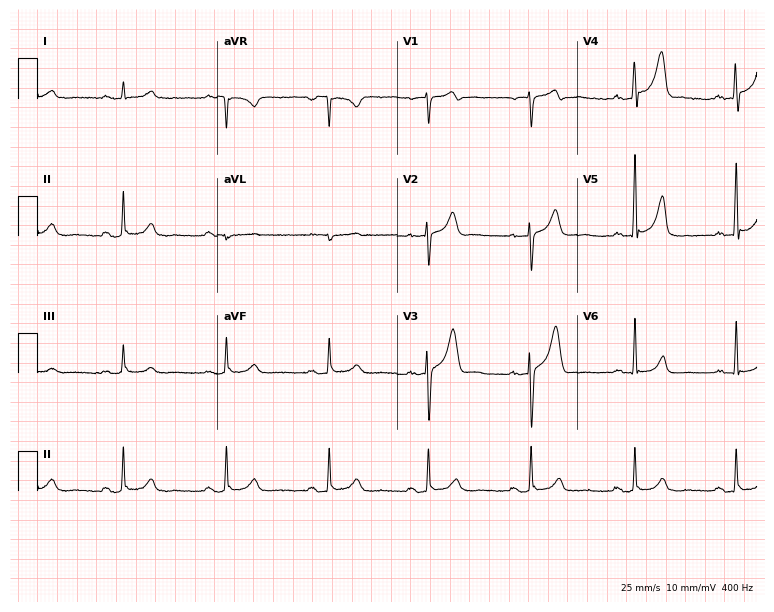
12-lead ECG from a man, 57 years old. No first-degree AV block, right bundle branch block (RBBB), left bundle branch block (LBBB), sinus bradycardia, atrial fibrillation (AF) or sinus tachycardia recorded for this tracing.